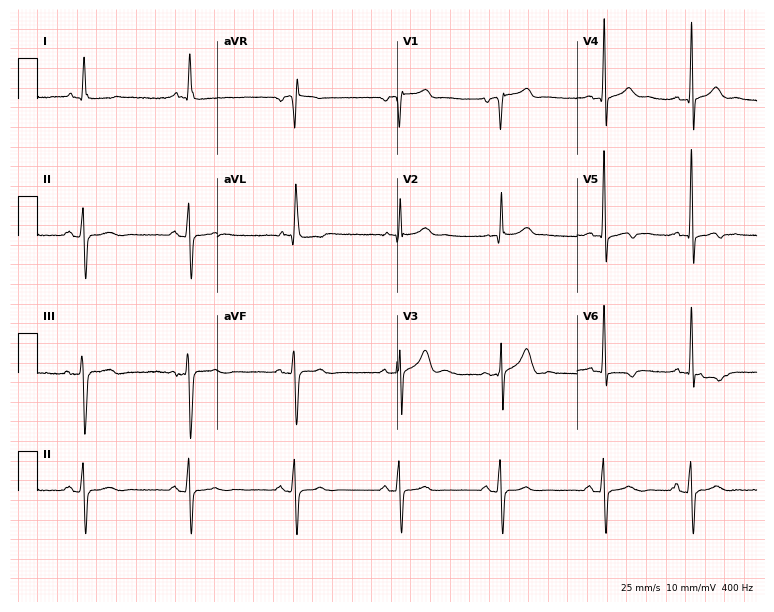
Resting 12-lead electrocardiogram. Patient: an 87-year-old male. None of these six findings is recorded: first-degree AV block, right bundle branch block, left bundle branch block, sinus bradycardia, atrial fibrillation, sinus tachycardia.